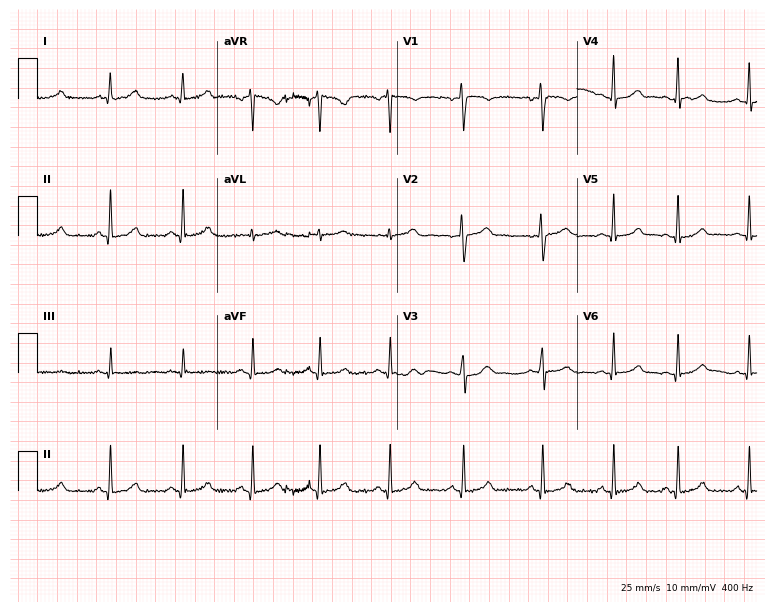
12-lead ECG from a 23-year-old female patient. Recorded interpretation: within normal limits.